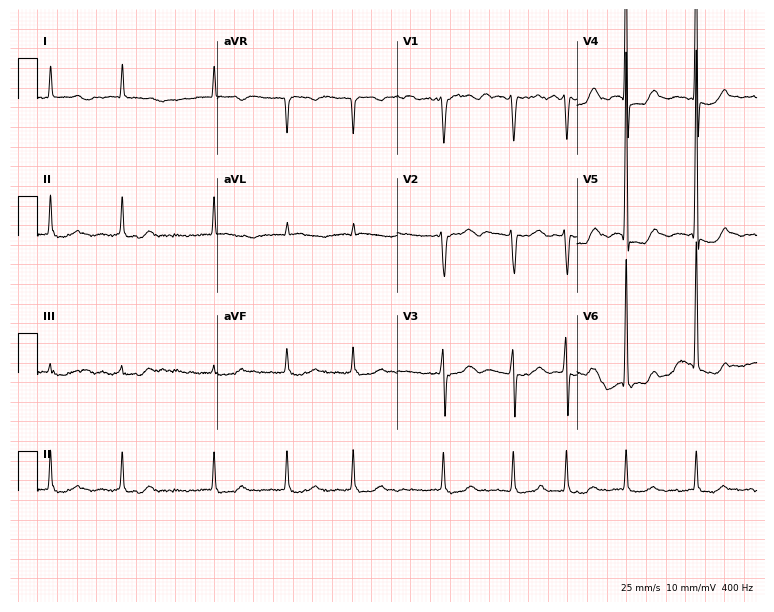
Electrocardiogram, a female, 80 years old. Interpretation includes atrial fibrillation (AF).